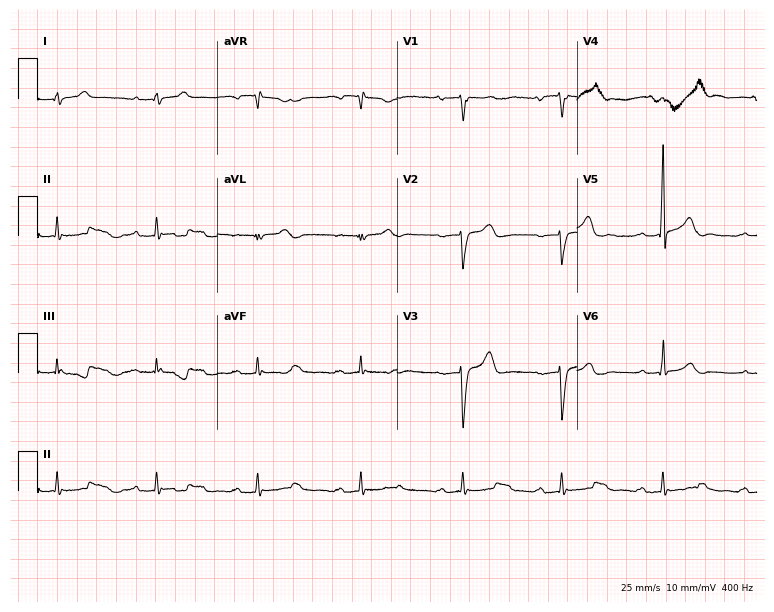
Standard 12-lead ECG recorded from a 37-year-old male. Read as a normal ECG.